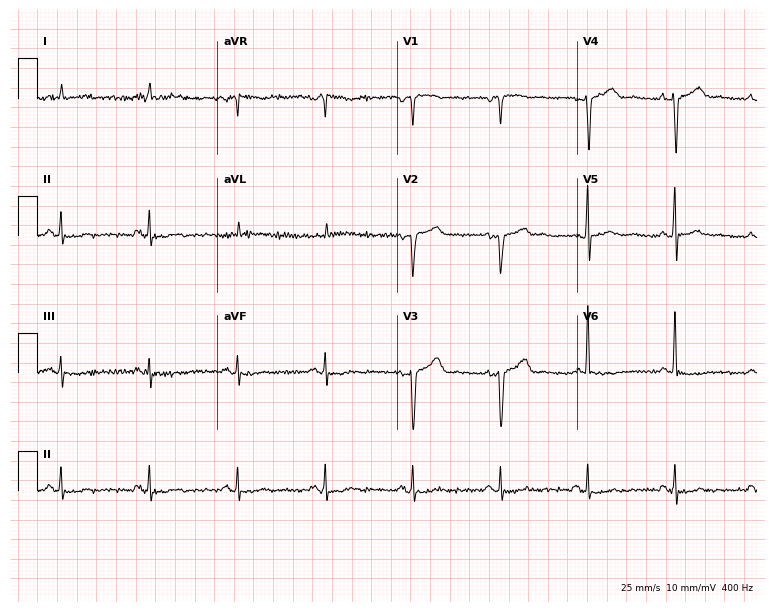
Resting 12-lead electrocardiogram. Patient: a male, 74 years old. None of these six findings is recorded: first-degree AV block, right bundle branch block, left bundle branch block, sinus bradycardia, atrial fibrillation, sinus tachycardia. Findings outside these six are not listed.